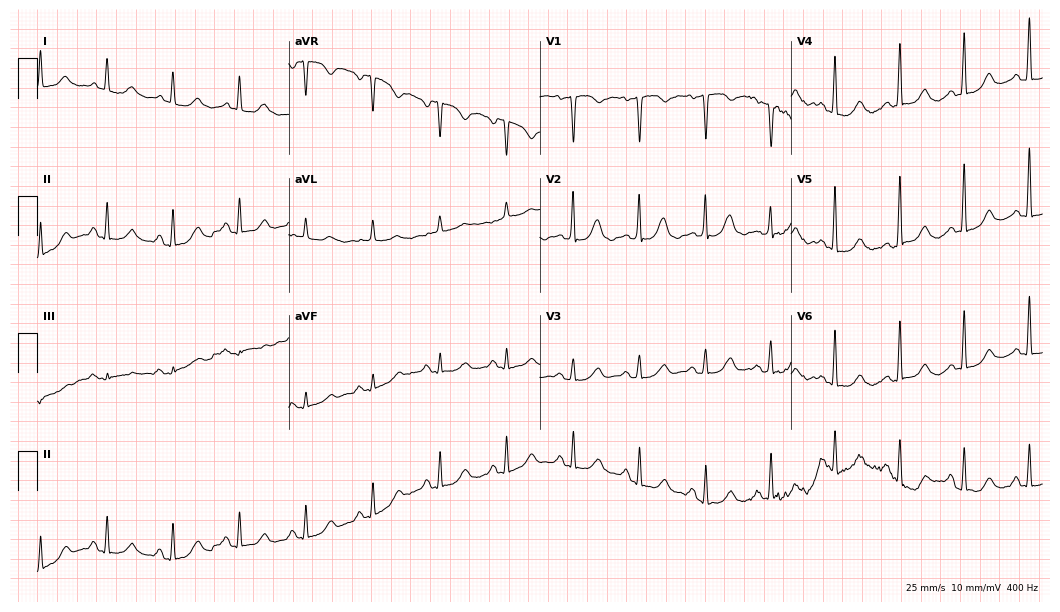
Electrocardiogram, a female, 65 years old. Overall reading on record: normal ECG.